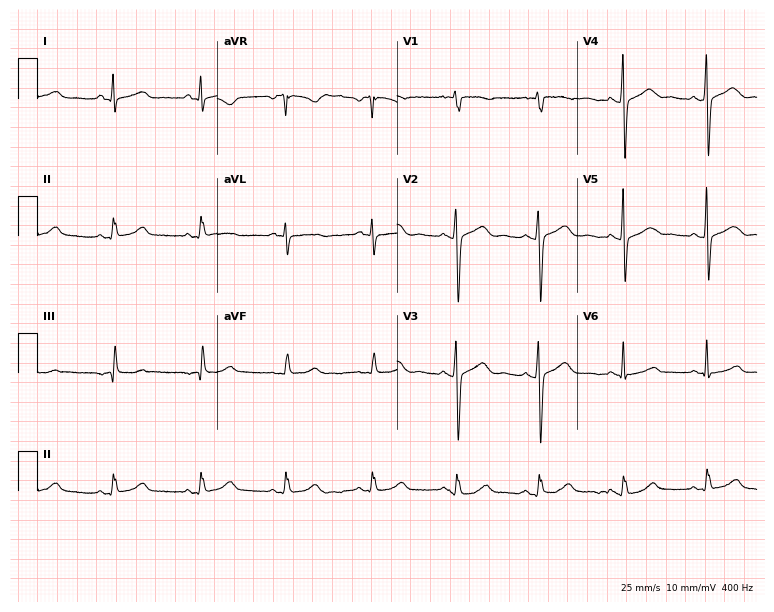
Standard 12-lead ECG recorded from a female, 37 years old. Read as a normal ECG.